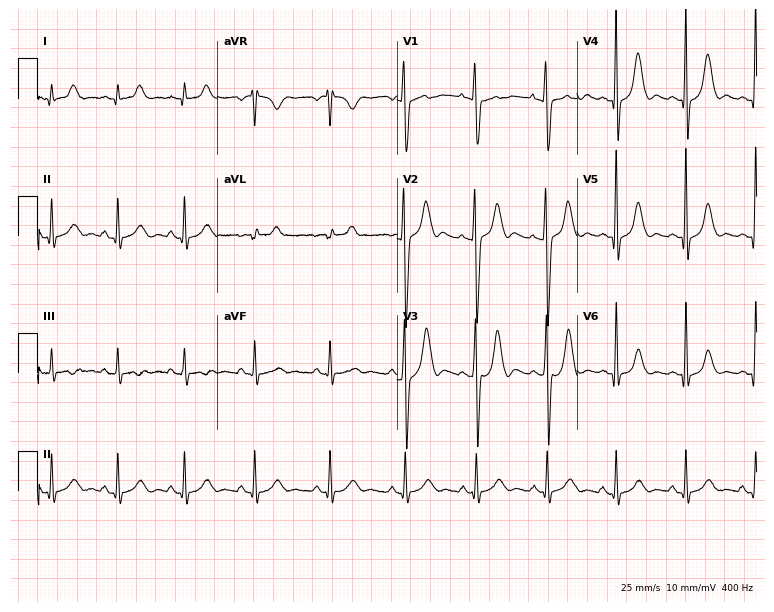
12-lead ECG from a male patient, 18 years old. Screened for six findings — first-degree AV block, right bundle branch block, left bundle branch block, sinus bradycardia, atrial fibrillation, sinus tachycardia — none is recorded.